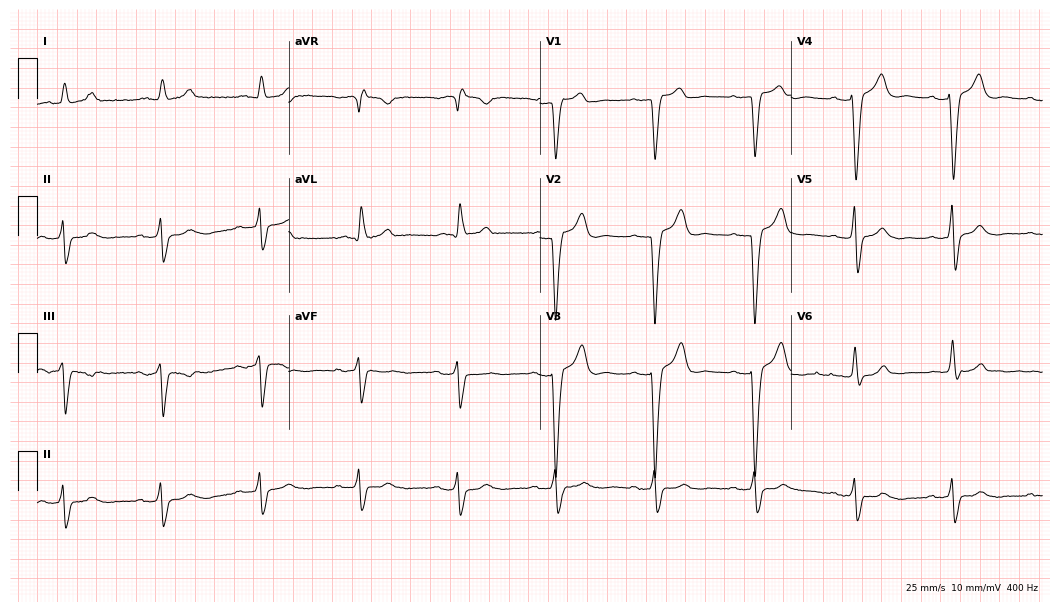
12-lead ECG from a man, 67 years old. No first-degree AV block, right bundle branch block, left bundle branch block, sinus bradycardia, atrial fibrillation or sinus tachycardia recorded for this tracing. Only these six findings were labelled.